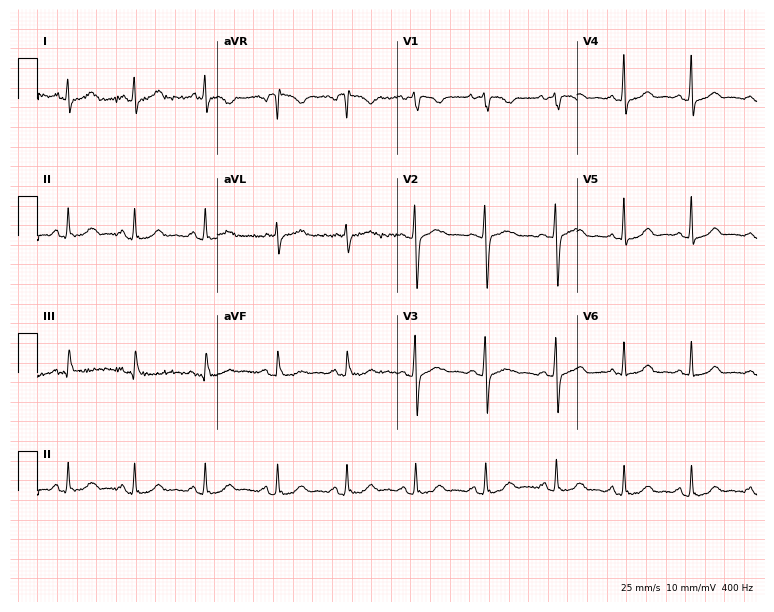
ECG — a woman, 26 years old. Labelled as a normal ECG.